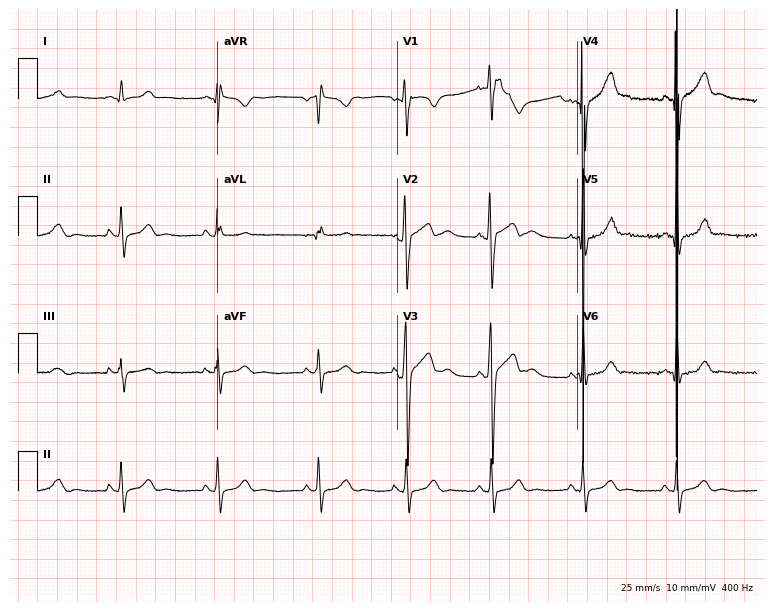
Resting 12-lead electrocardiogram (7.3-second recording at 400 Hz). Patient: a male, 27 years old. None of these six findings is recorded: first-degree AV block, right bundle branch block, left bundle branch block, sinus bradycardia, atrial fibrillation, sinus tachycardia. Findings outside these six are not listed.